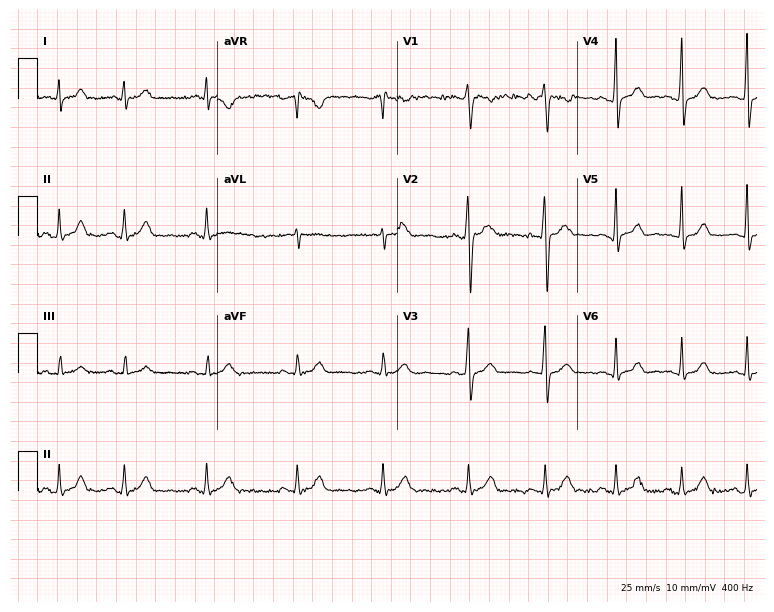
ECG — a 19-year-old male. Labelled as a normal ECG.